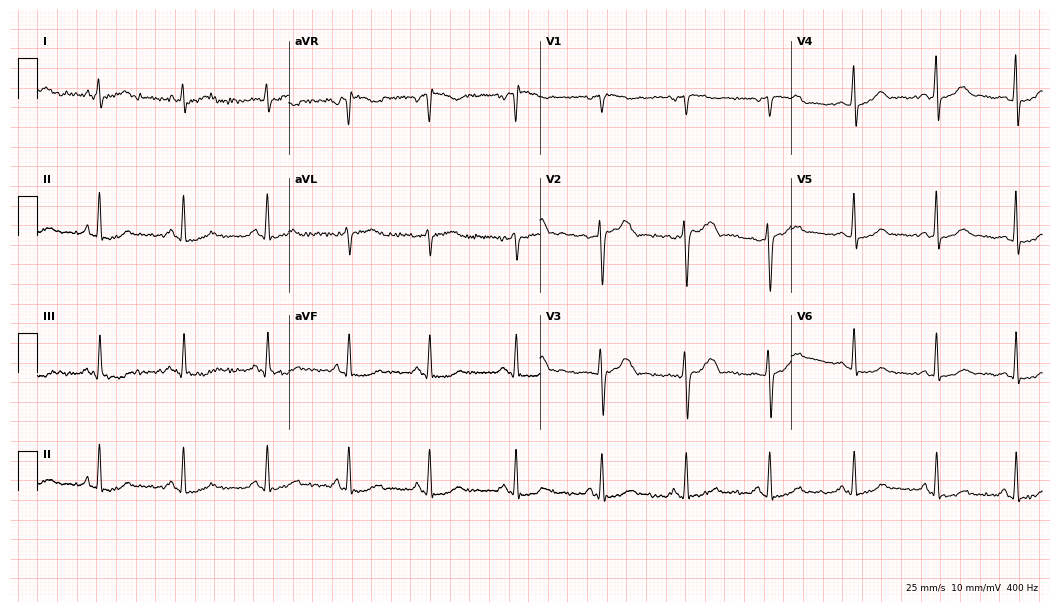
12-lead ECG from a female, 42 years old. Labelled as a normal ECG.